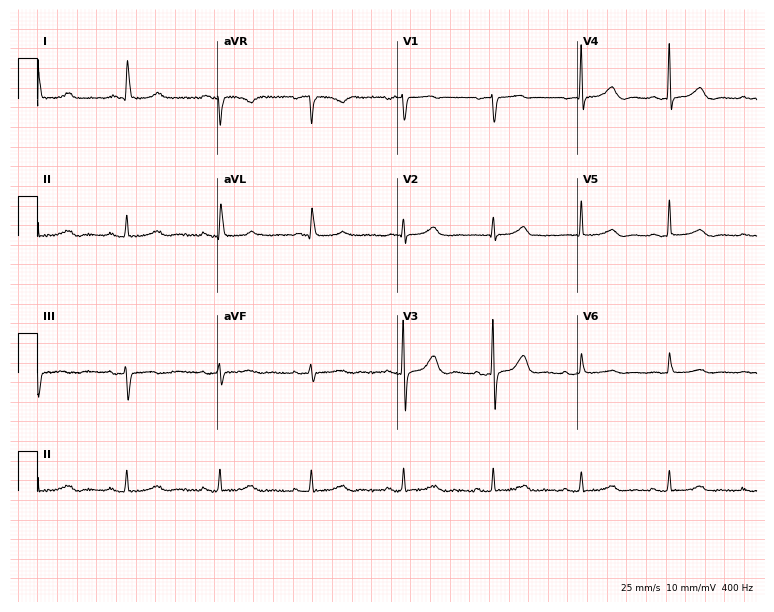
Electrocardiogram (7.3-second recording at 400 Hz), a woman, 78 years old. Overall reading on record: normal ECG.